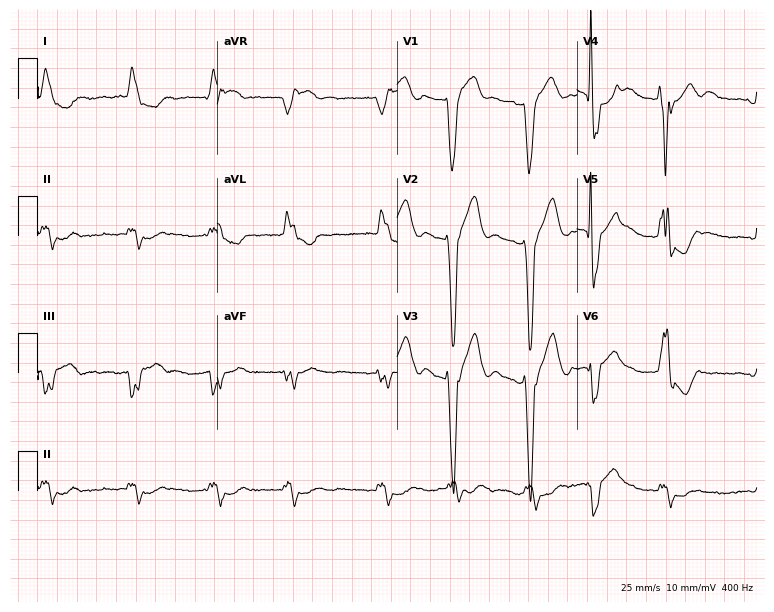
Electrocardiogram (7.3-second recording at 400 Hz), a 75-year-old male patient. Interpretation includes left bundle branch block (LBBB), atrial fibrillation (AF).